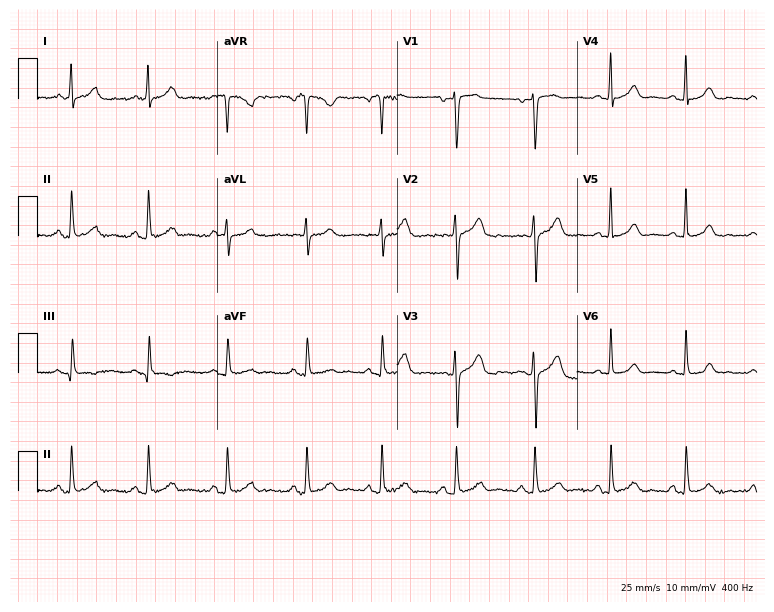
12-lead ECG from a female patient, 35 years old. Labelled as a normal ECG.